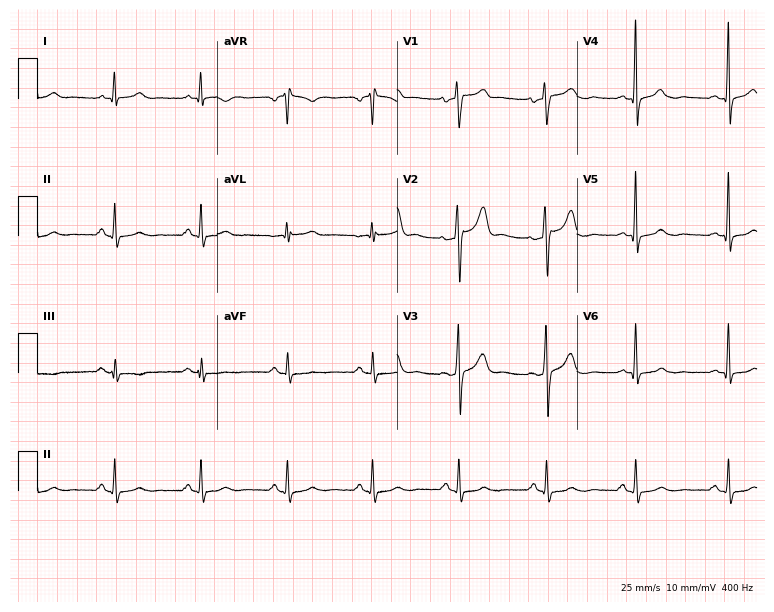
12-lead ECG from a 42-year-old male patient (7.3-second recording at 400 Hz). Recorded interpretation: within normal limits.